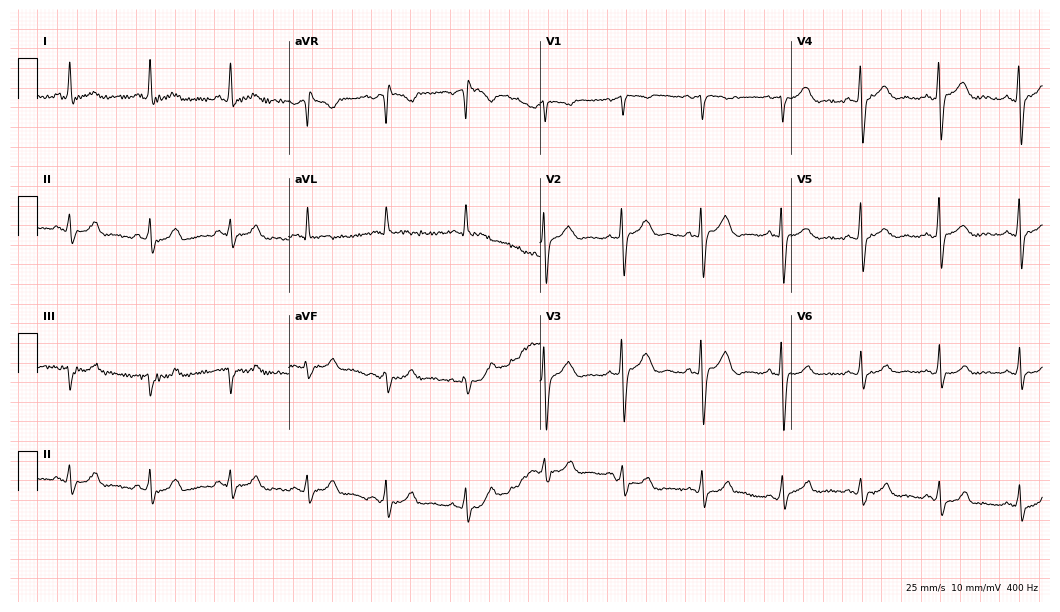
Standard 12-lead ECG recorded from a woman, 31 years old (10.2-second recording at 400 Hz). Read as a normal ECG.